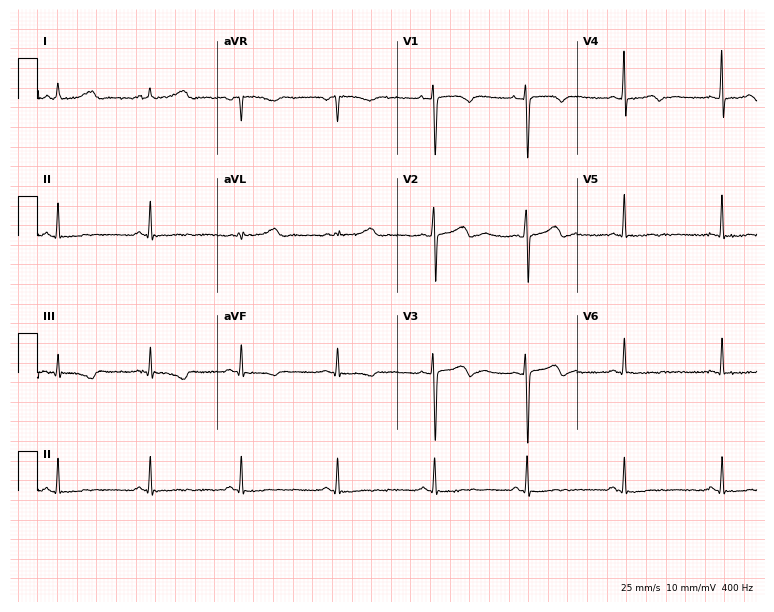
12-lead ECG from a 53-year-old woman. Screened for six findings — first-degree AV block, right bundle branch block, left bundle branch block, sinus bradycardia, atrial fibrillation, sinus tachycardia — none is recorded.